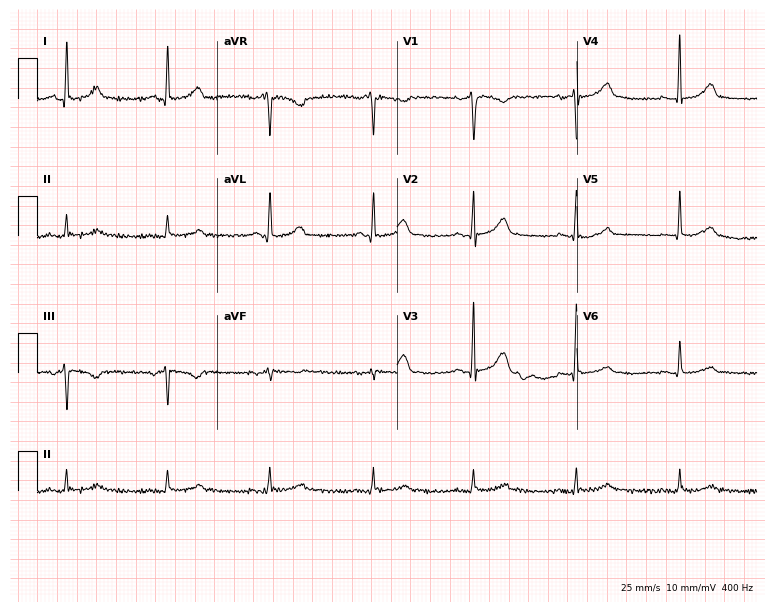
12-lead ECG from a 47-year-old female. Labelled as a normal ECG.